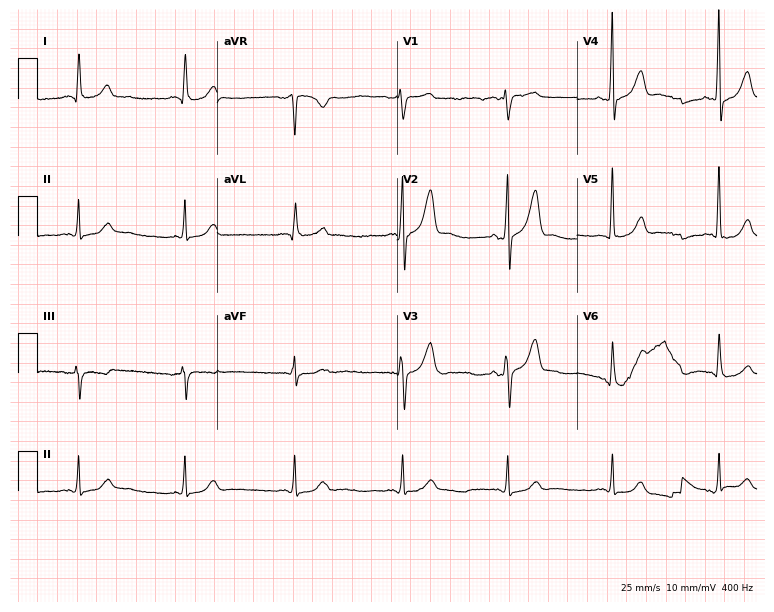
Resting 12-lead electrocardiogram (7.3-second recording at 400 Hz). Patient: a man, 61 years old. Read as a normal ECG.